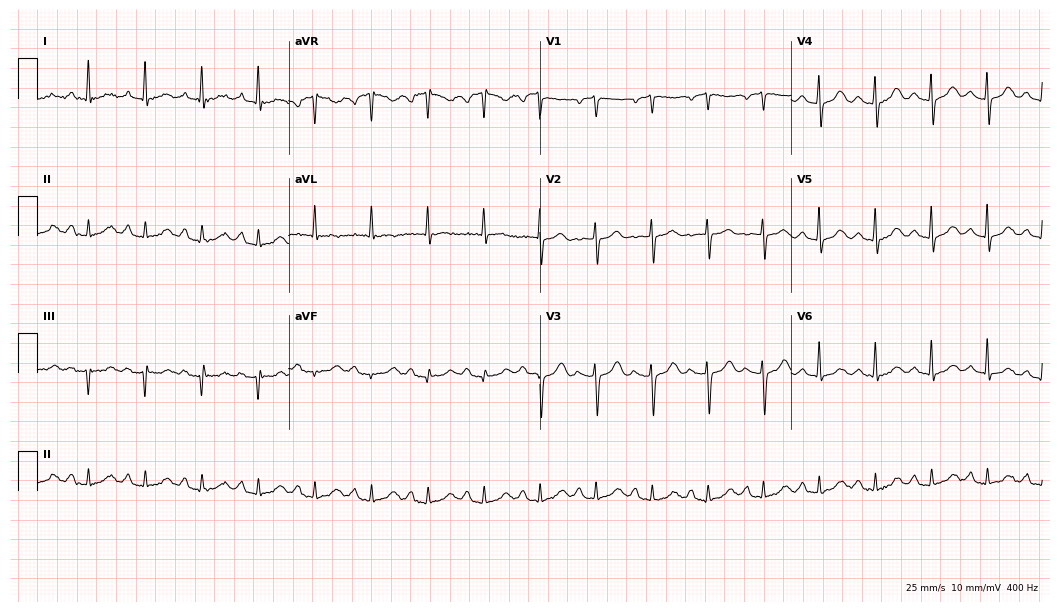
12-lead ECG (10.2-second recording at 400 Hz) from a female, 61 years old. Screened for six findings — first-degree AV block, right bundle branch block (RBBB), left bundle branch block (LBBB), sinus bradycardia, atrial fibrillation (AF), sinus tachycardia — none is recorded.